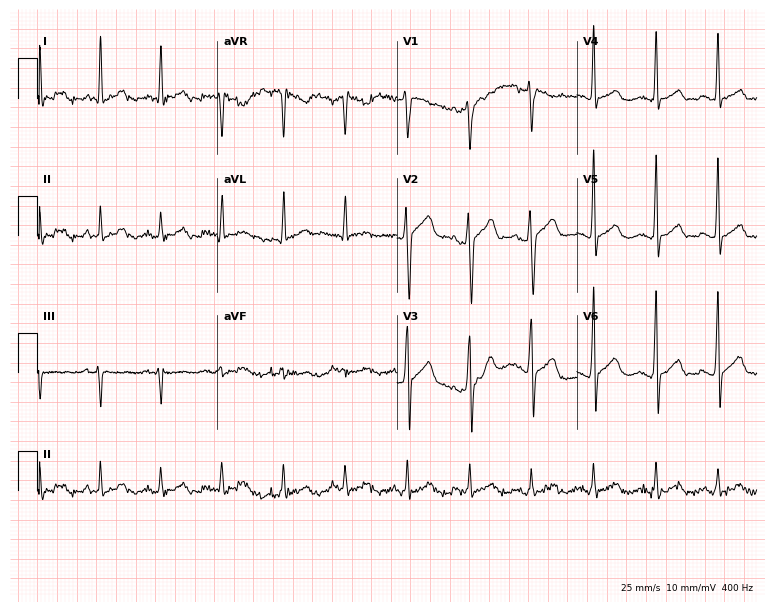
Resting 12-lead electrocardiogram (7.3-second recording at 400 Hz). Patient: a 38-year-old male. None of these six findings is recorded: first-degree AV block, right bundle branch block (RBBB), left bundle branch block (LBBB), sinus bradycardia, atrial fibrillation (AF), sinus tachycardia.